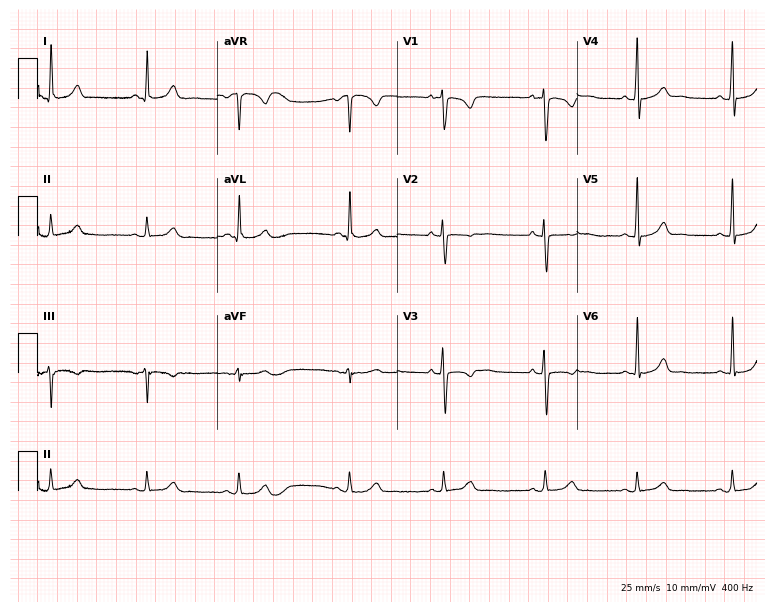
ECG (7.3-second recording at 400 Hz) — a female patient, 19 years old. Labelled as a normal ECG.